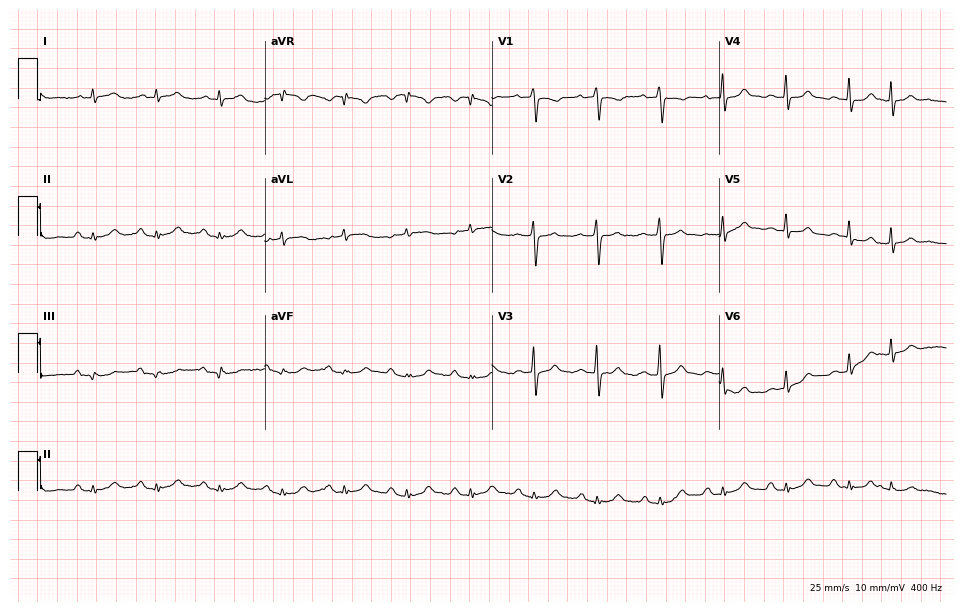
12-lead ECG from a female patient, 82 years old. No first-degree AV block, right bundle branch block, left bundle branch block, sinus bradycardia, atrial fibrillation or sinus tachycardia recorded for this tracing. Findings outside these six are not listed.